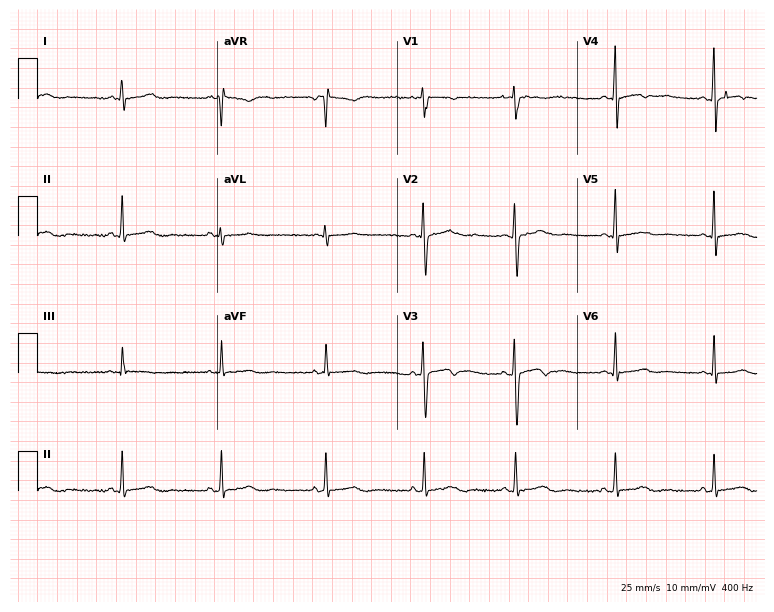
12-lead ECG from a female patient, 19 years old. Labelled as a normal ECG.